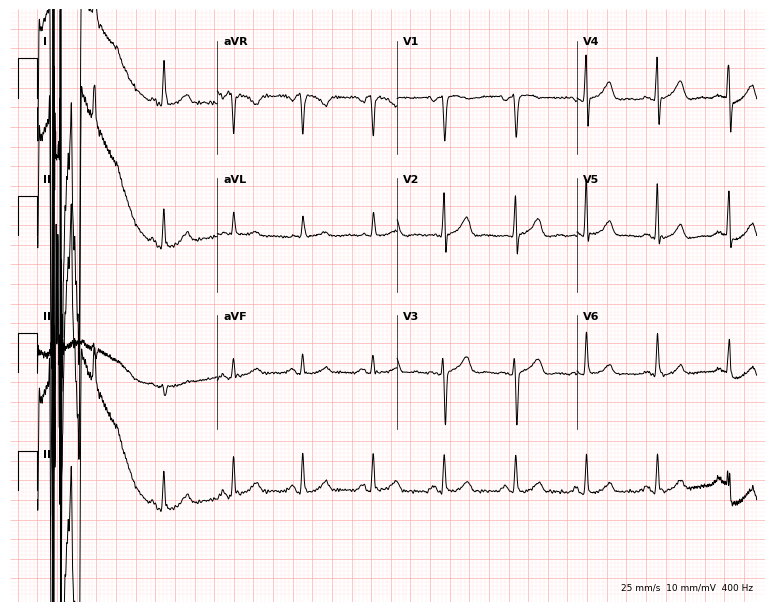
12-lead ECG (7.3-second recording at 400 Hz) from a 59-year-old man. Labelled as a normal ECG.